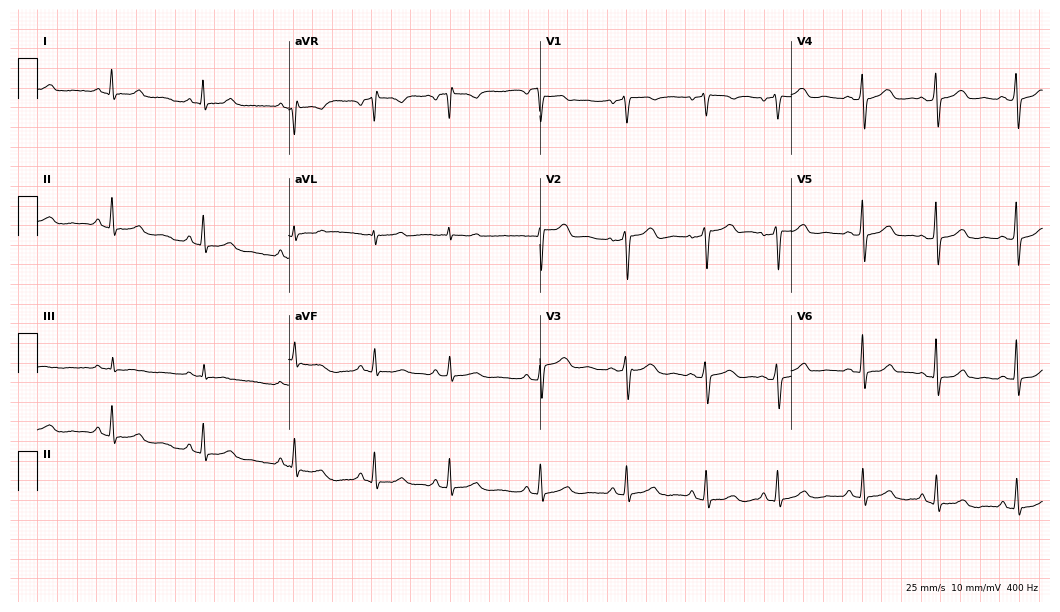
ECG — a female patient, 38 years old. Labelled as a normal ECG.